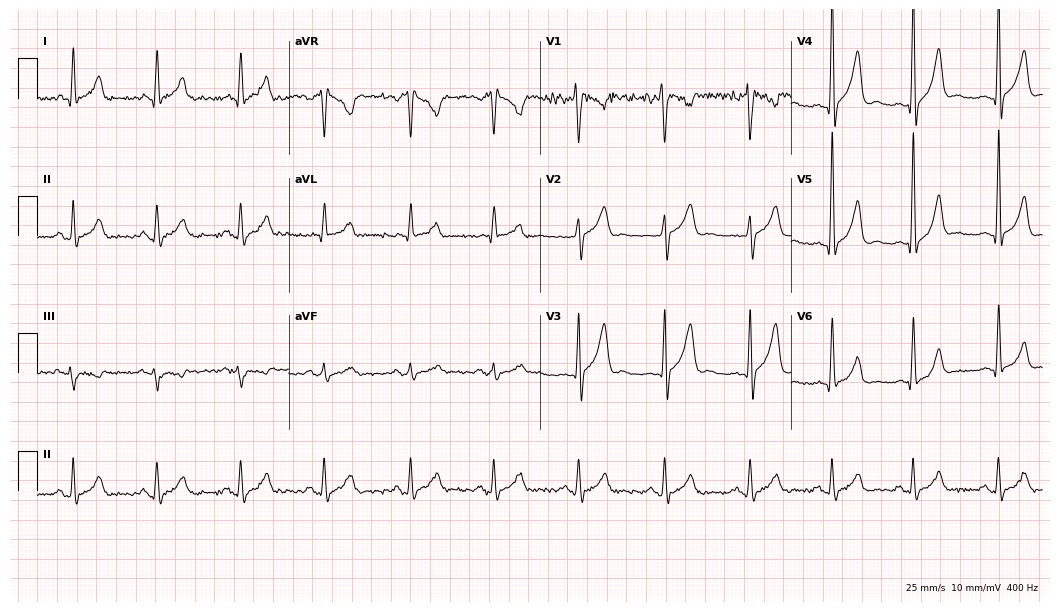
Resting 12-lead electrocardiogram (10.2-second recording at 400 Hz). Patient: a 32-year-old man. None of these six findings is recorded: first-degree AV block, right bundle branch block (RBBB), left bundle branch block (LBBB), sinus bradycardia, atrial fibrillation (AF), sinus tachycardia.